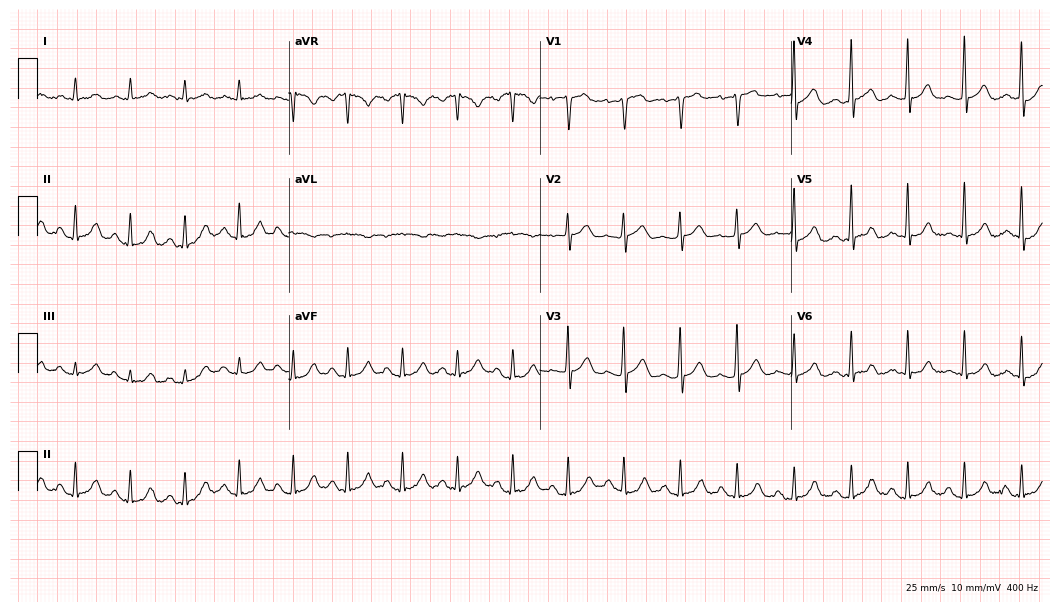
12-lead ECG from a 79-year-old man (10.2-second recording at 400 Hz). No first-degree AV block, right bundle branch block, left bundle branch block, sinus bradycardia, atrial fibrillation or sinus tachycardia recorded for this tracing. Findings outside these six are not listed.